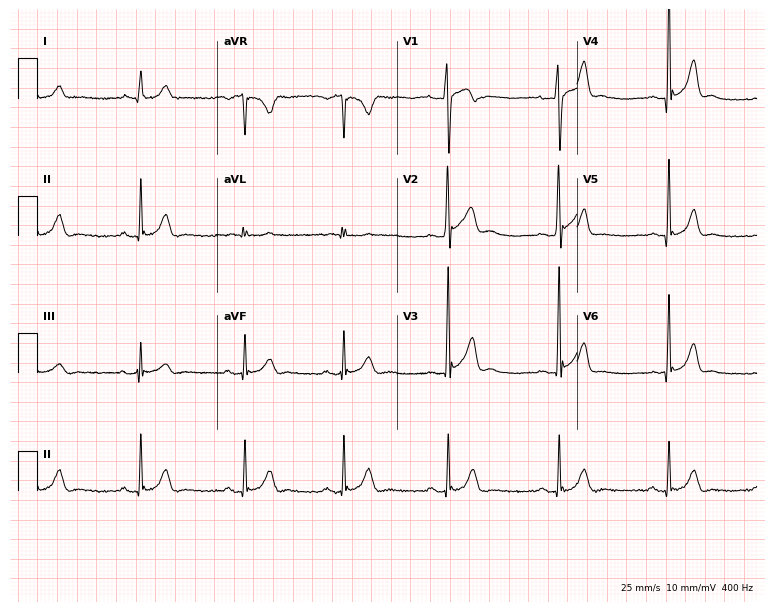
Resting 12-lead electrocardiogram. Patient: a man, 33 years old. None of these six findings is recorded: first-degree AV block, right bundle branch block, left bundle branch block, sinus bradycardia, atrial fibrillation, sinus tachycardia. Findings outside these six are not listed.